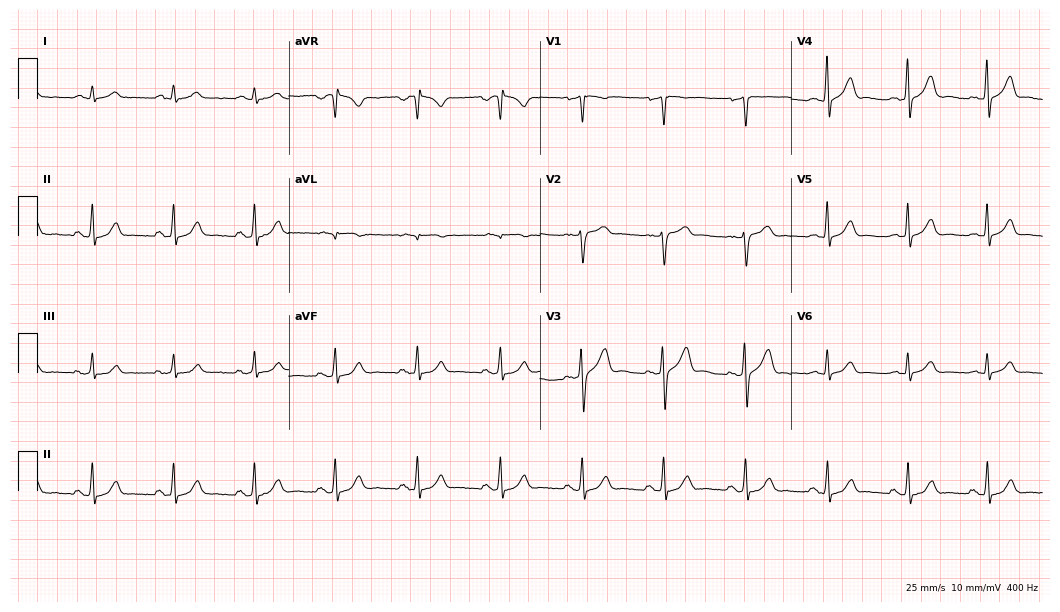
12-lead ECG from a 45-year-old male (10.2-second recording at 400 Hz). Recorded interpretation: within normal limits.